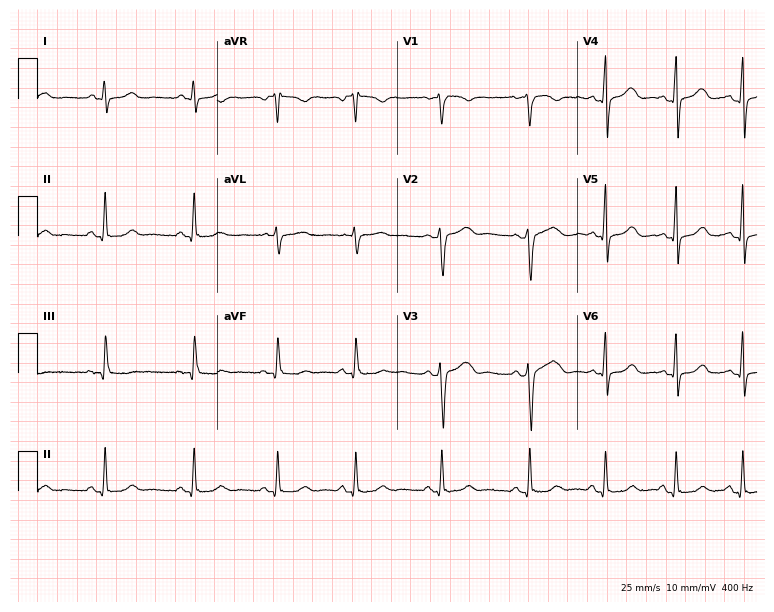
12-lead ECG from a female, 32 years old. Labelled as a normal ECG.